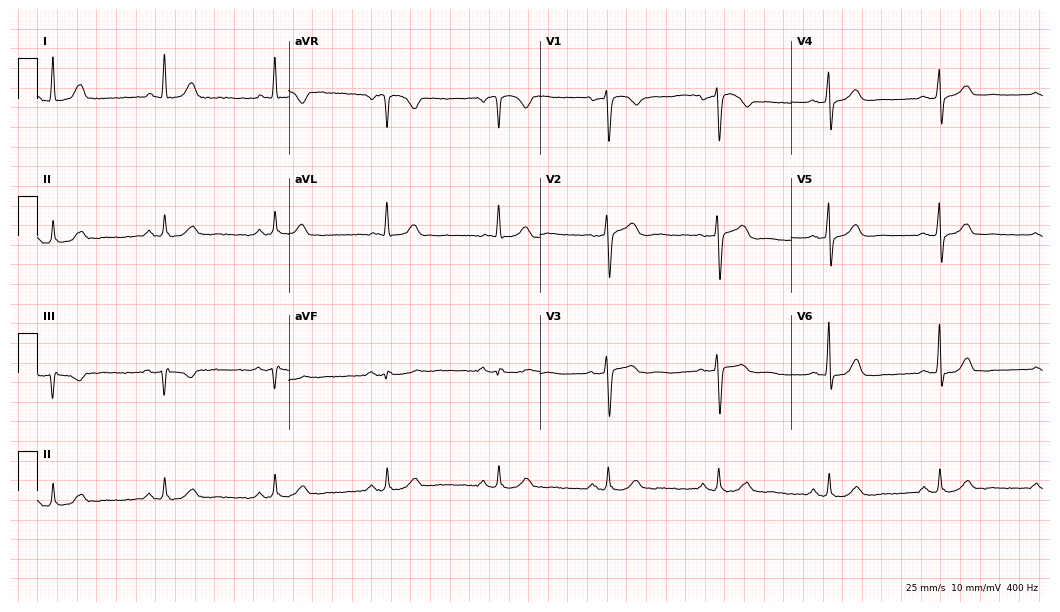
Resting 12-lead electrocardiogram. Patient: a female, 81 years old. Read as a normal ECG.